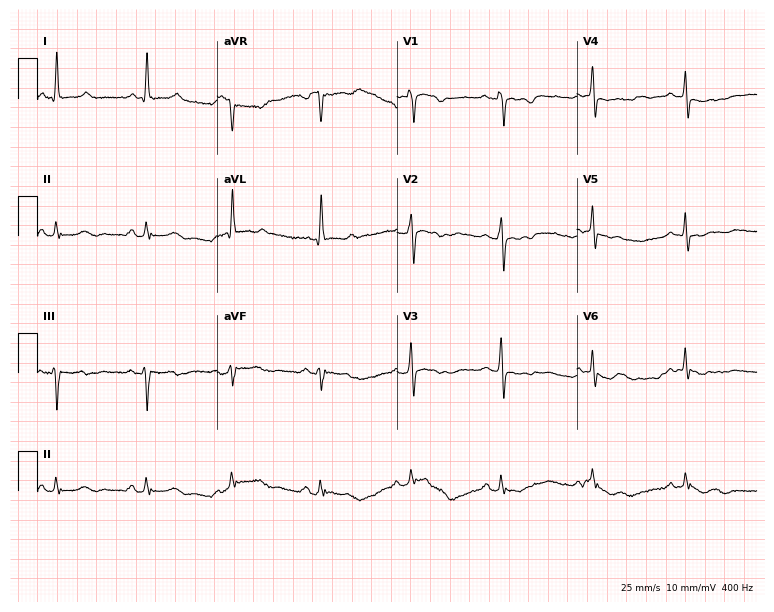
Resting 12-lead electrocardiogram. Patient: a 62-year-old female. None of these six findings is recorded: first-degree AV block, right bundle branch block (RBBB), left bundle branch block (LBBB), sinus bradycardia, atrial fibrillation (AF), sinus tachycardia.